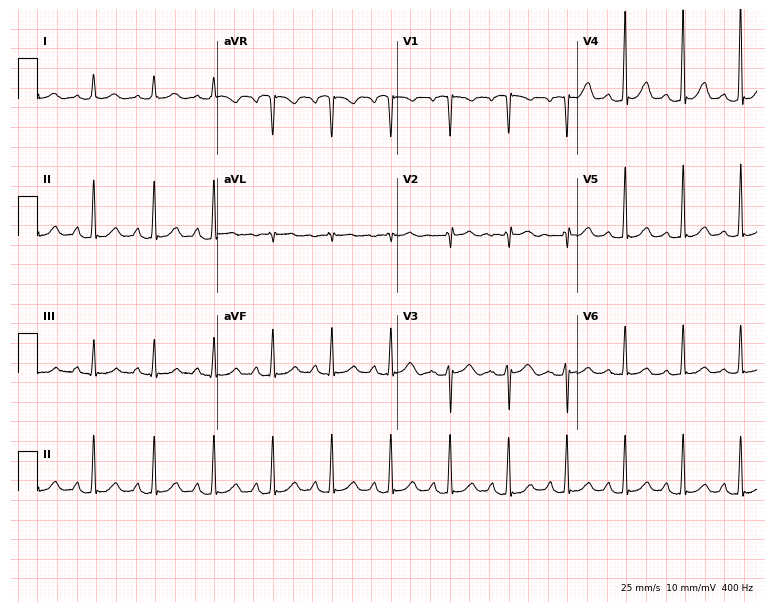
12-lead ECG from a 27-year-old woman. Shows sinus tachycardia (a sinus rate of 100 beats per minute or more).